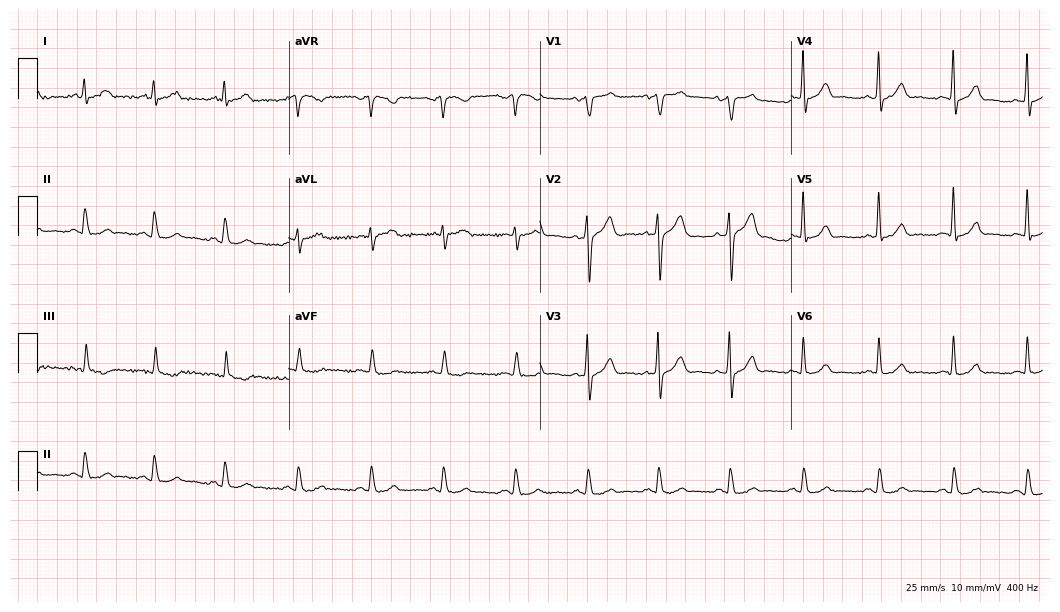
12-lead ECG from a 58-year-old male patient. Labelled as a normal ECG.